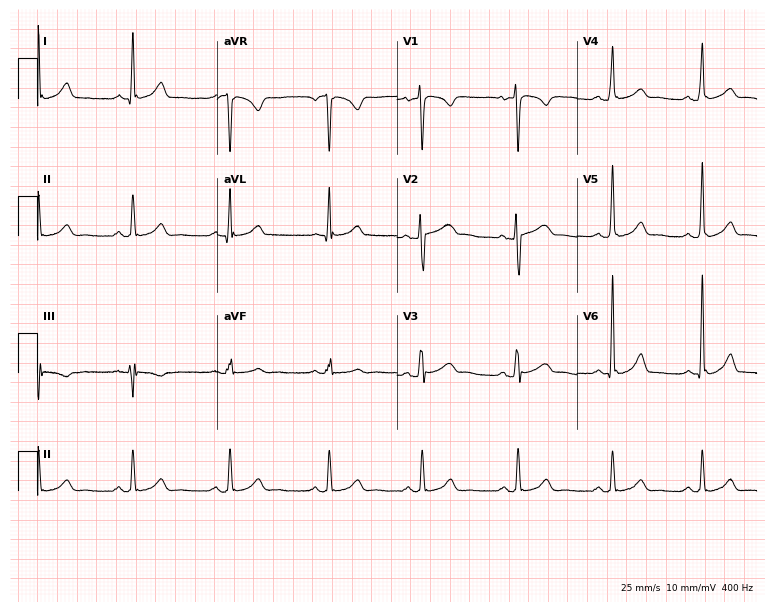
12-lead ECG from a 25-year-old male patient. Recorded interpretation: within normal limits.